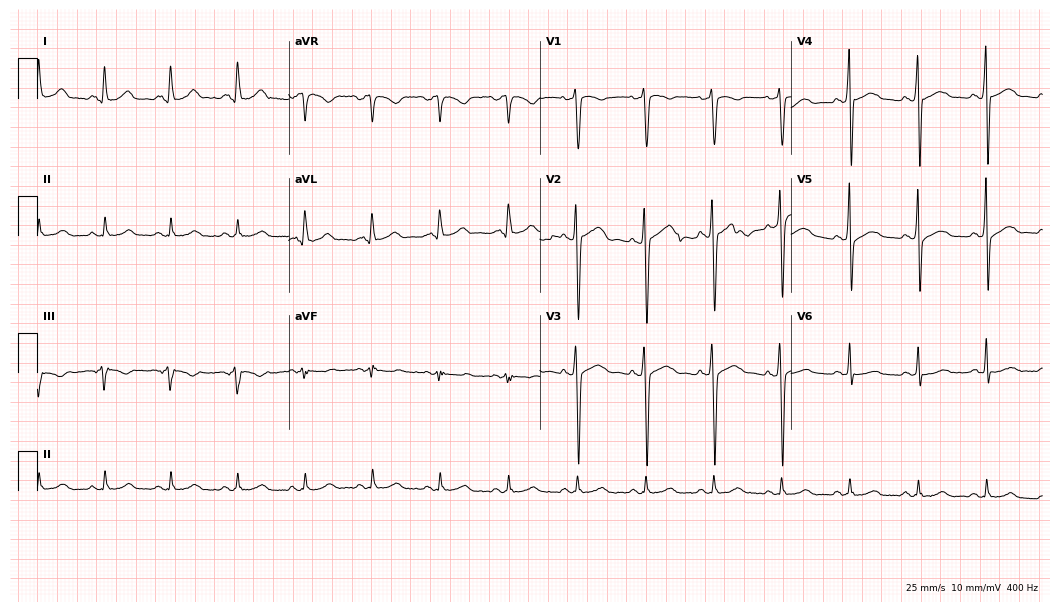
Resting 12-lead electrocardiogram (10.2-second recording at 400 Hz). Patient: a 40-year-old male. Read as a normal ECG.